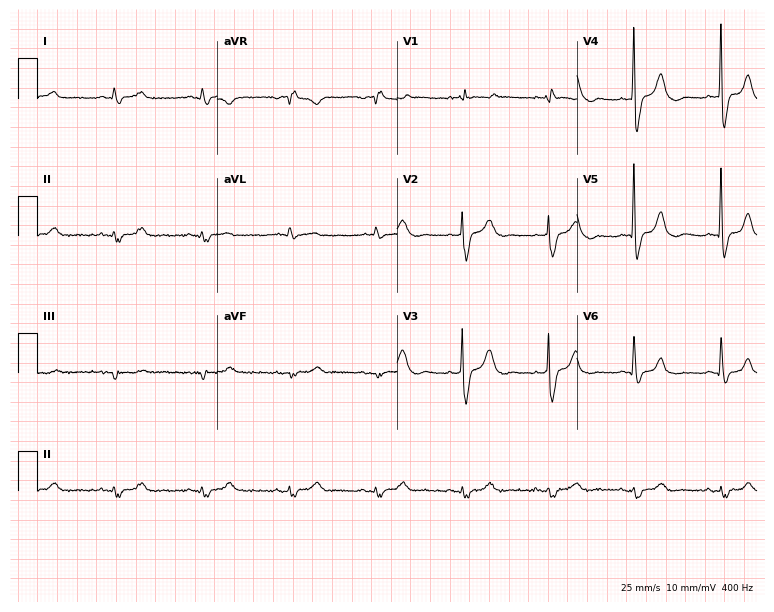
ECG (7.3-second recording at 400 Hz) — a 79-year-old man. Screened for six findings — first-degree AV block, right bundle branch block (RBBB), left bundle branch block (LBBB), sinus bradycardia, atrial fibrillation (AF), sinus tachycardia — none is recorded.